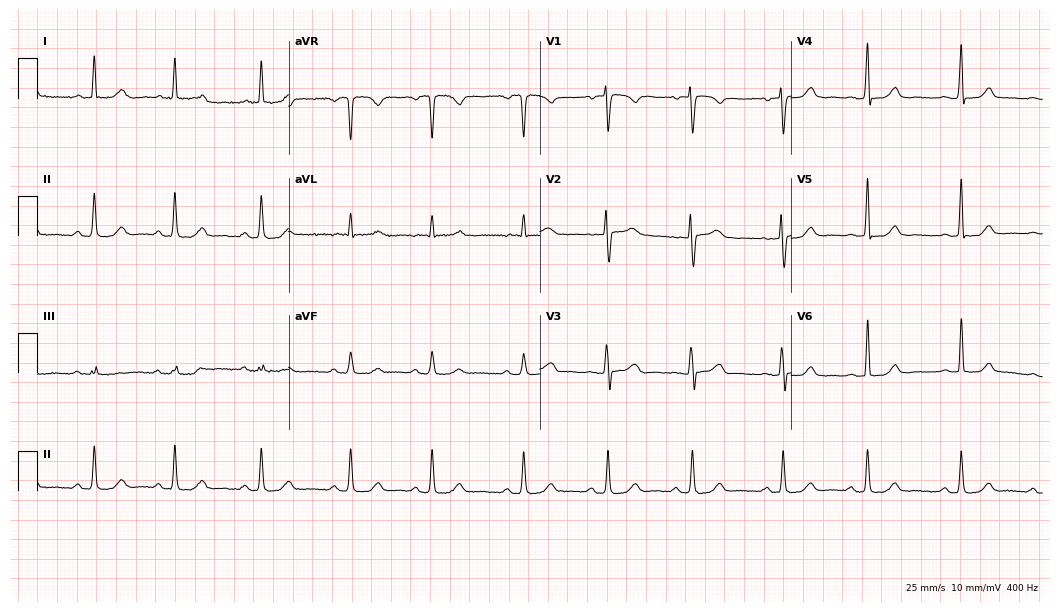
12-lead ECG from a woman, 57 years old. Labelled as a normal ECG.